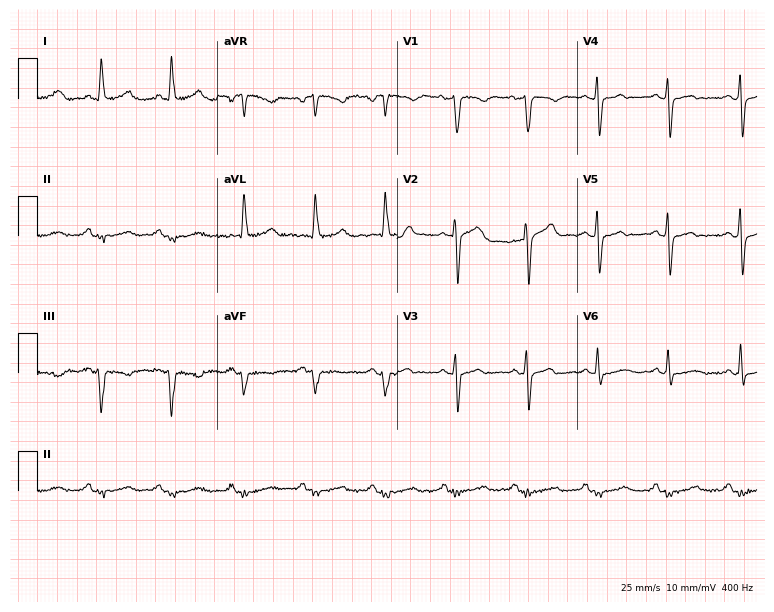
Resting 12-lead electrocardiogram (7.3-second recording at 400 Hz). Patient: a man, 81 years old. None of these six findings is recorded: first-degree AV block, right bundle branch block, left bundle branch block, sinus bradycardia, atrial fibrillation, sinus tachycardia. Findings outside these six are not listed.